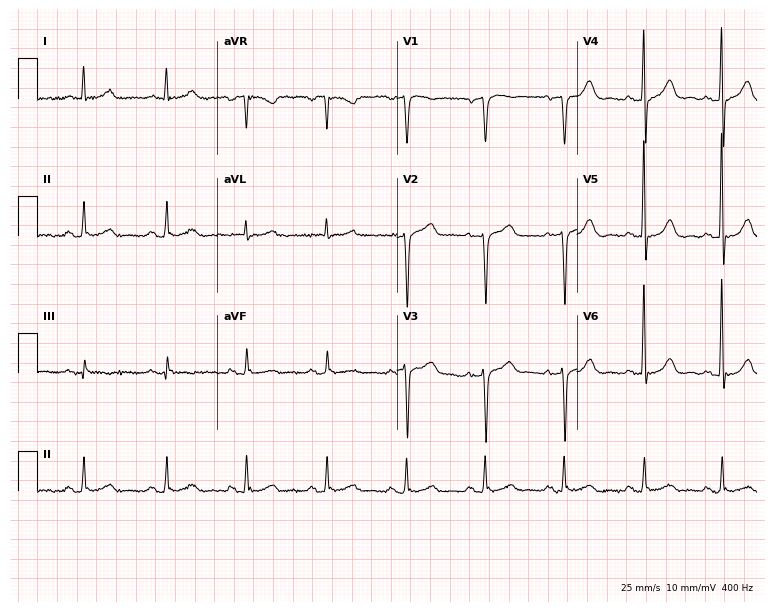
Electrocardiogram, a man, 71 years old. Overall reading on record: normal ECG.